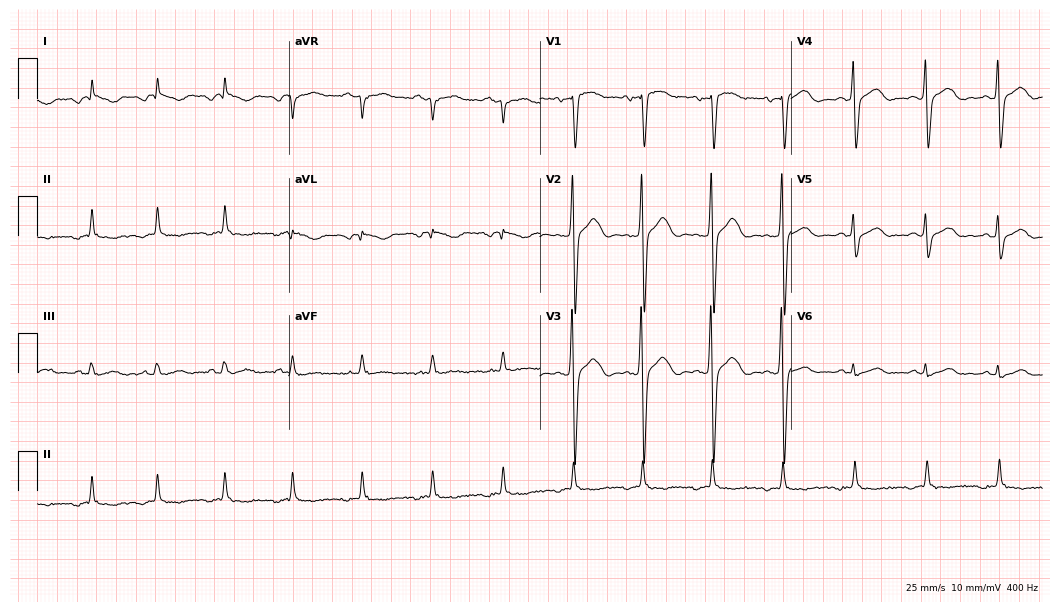
12-lead ECG from a 59-year-old male patient. No first-degree AV block, right bundle branch block, left bundle branch block, sinus bradycardia, atrial fibrillation or sinus tachycardia recorded for this tracing. Other findings, if any, are not listed.